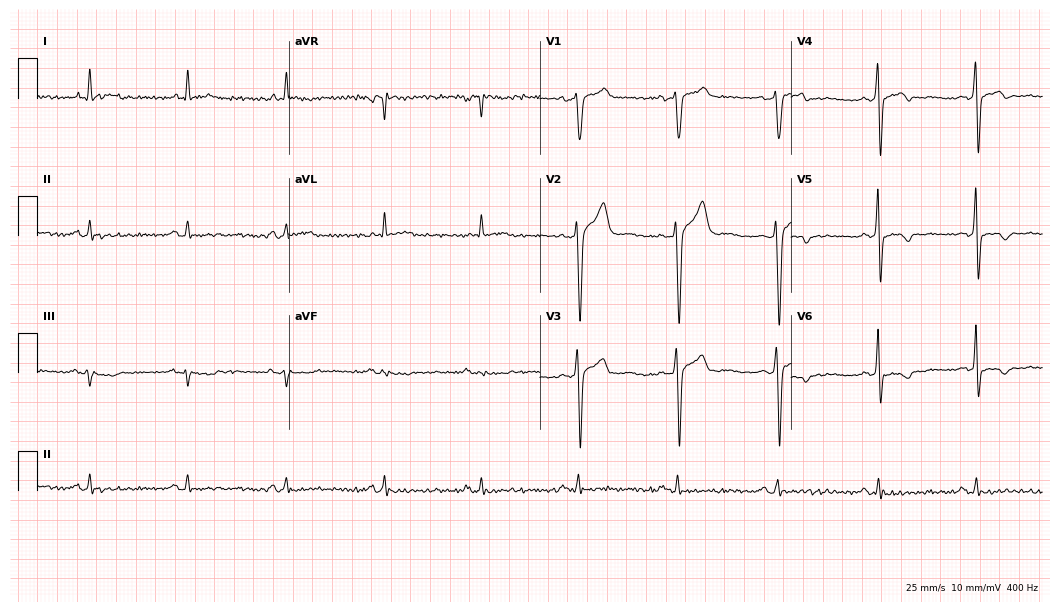
12-lead ECG (10.2-second recording at 400 Hz) from a male patient, 66 years old. Screened for six findings — first-degree AV block, right bundle branch block (RBBB), left bundle branch block (LBBB), sinus bradycardia, atrial fibrillation (AF), sinus tachycardia — none is recorded.